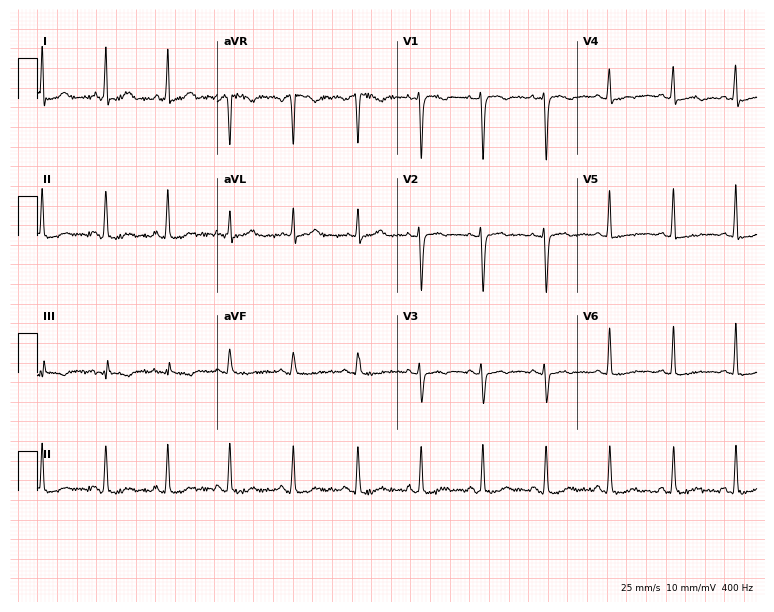
ECG — a 36-year-old woman. Labelled as a normal ECG.